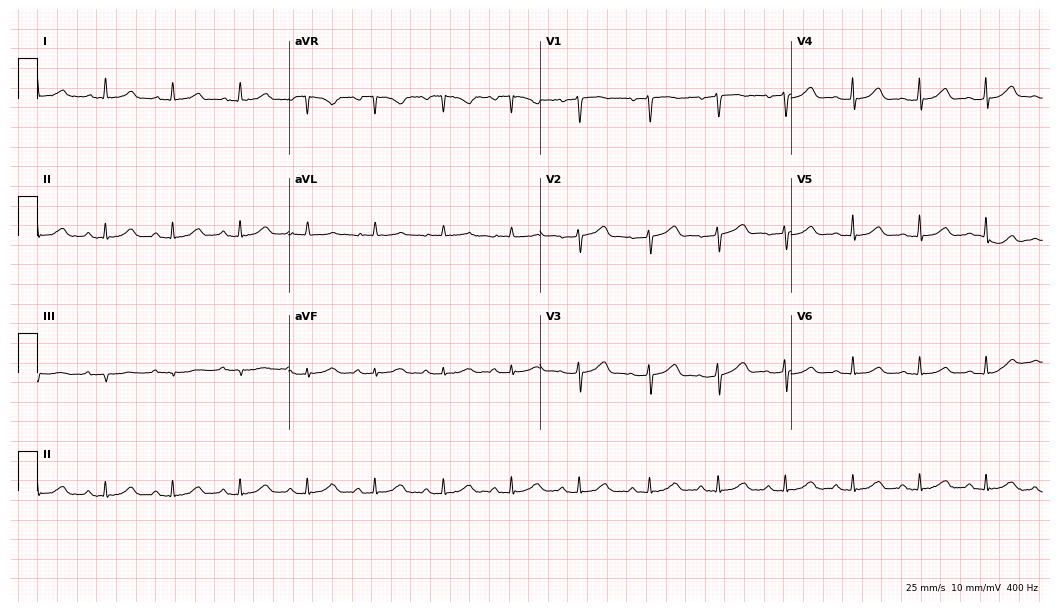
12-lead ECG (10.2-second recording at 400 Hz) from a woman, 62 years old. Labelled as a normal ECG.